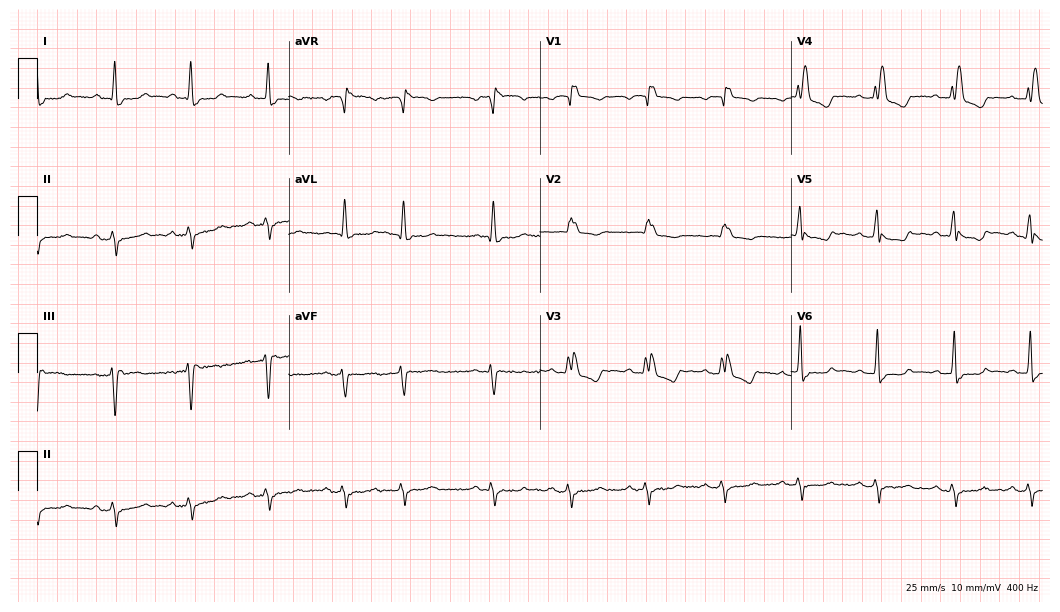
12-lead ECG from a man, 67 years old (10.2-second recording at 400 Hz). Shows right bundle branch block.